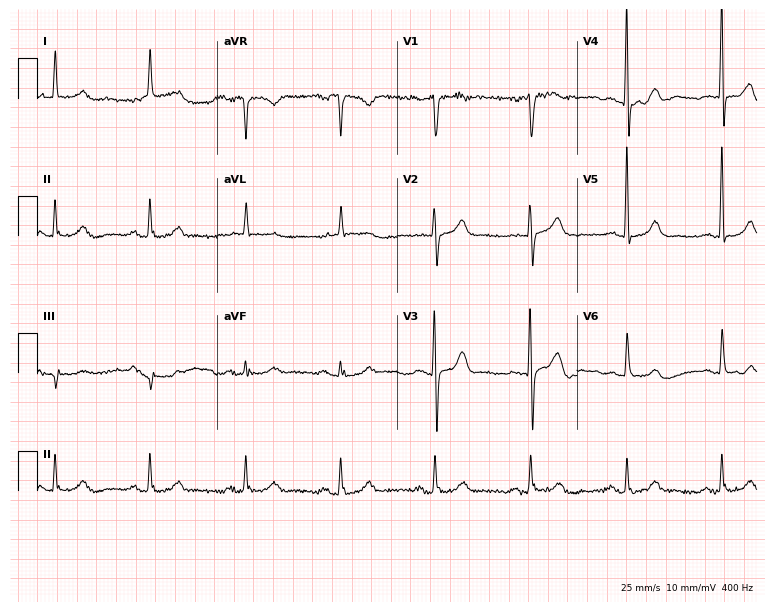
12-lead ECG from a 72-year-old male patient. Labelled as a normal ECG.